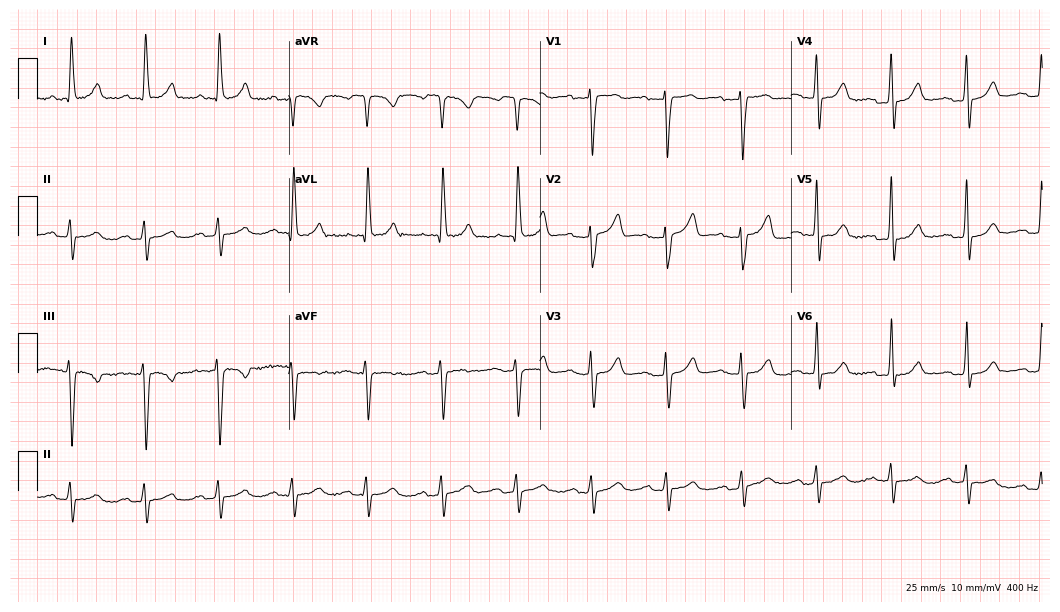
12-lead ECG from a woman, 69 years old (10.2-second recording at 400 Hz). Shows first-degree AV block.